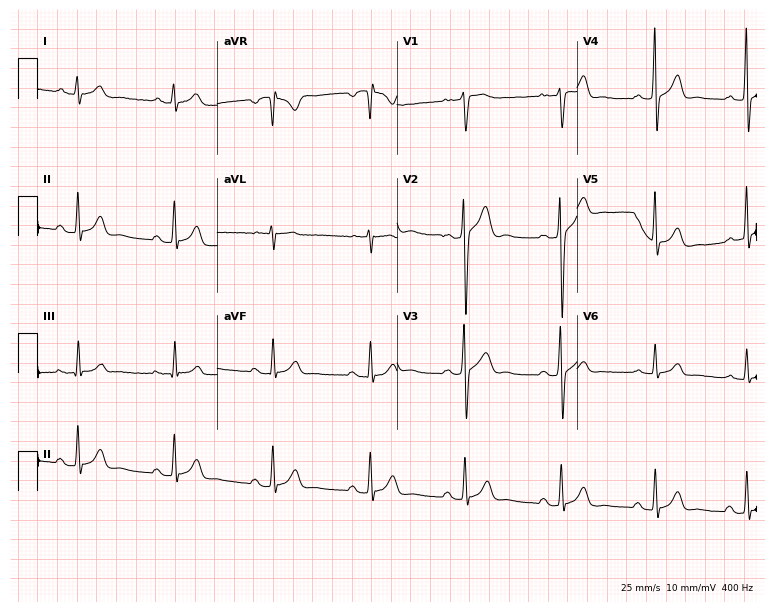
12-lead ECG from a 29-year-old male patient. No first-degree AV block, right bundle branch block (RBBB), left bundle branch block (LBBB), sinus bradycardia, atrial fibrillation (AF) or sinus tachycardia recorded for this tracing.